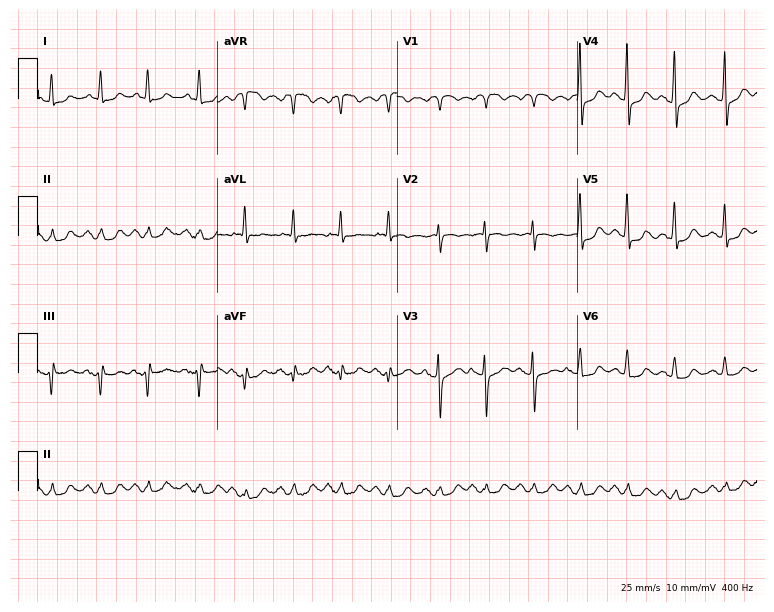
12-lead ECG from a female patient, 75 years old (7.3-second recording at 400 Hz). Shows sinus tachycardia (a sinus rate of 100 beats per minute or more).